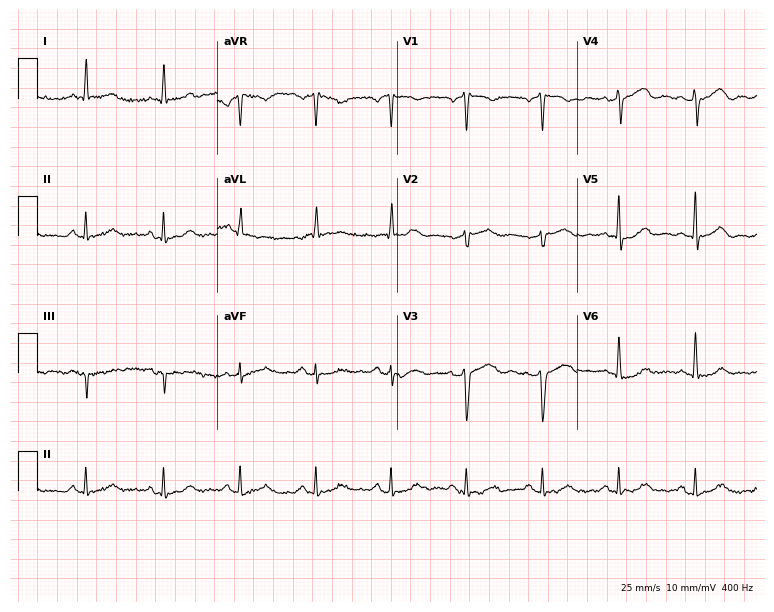
ECG (7.3-second recording at 400 Hz) — a male patient, 70 years old. Labelled as a normal ECG.